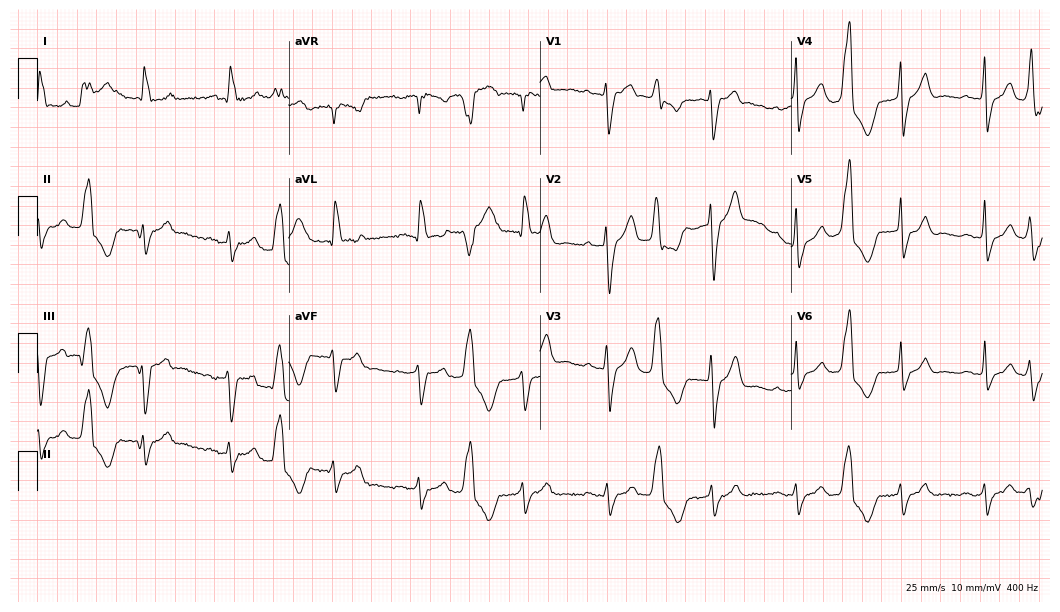
Standard 12-lead ECG recorded from a male patient, 76 years old (10.2-second recording at 400 Hz). None of these six findings is recorded: first-degree AV block, right bundle branch block (RBBB), left bundle branch block (LBBB), sinus bradycardia, atrial fibrillation (AF), sinus tachycardia. Only these six findings were labelled.